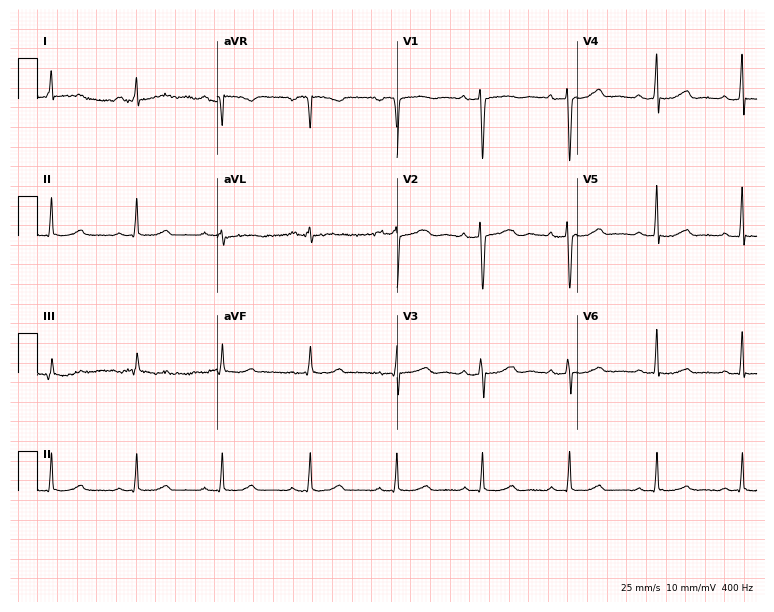
Resting 12-lead electrocardiogram (7.3-second recording at 400 Hz). Patient: a woman, 52 years old. None of these six findings is recorded: first-degree AV block, right bundle branch block, left bundle branch block, sinus bradycardia, atrial fibrillation, sinus tachycardia.